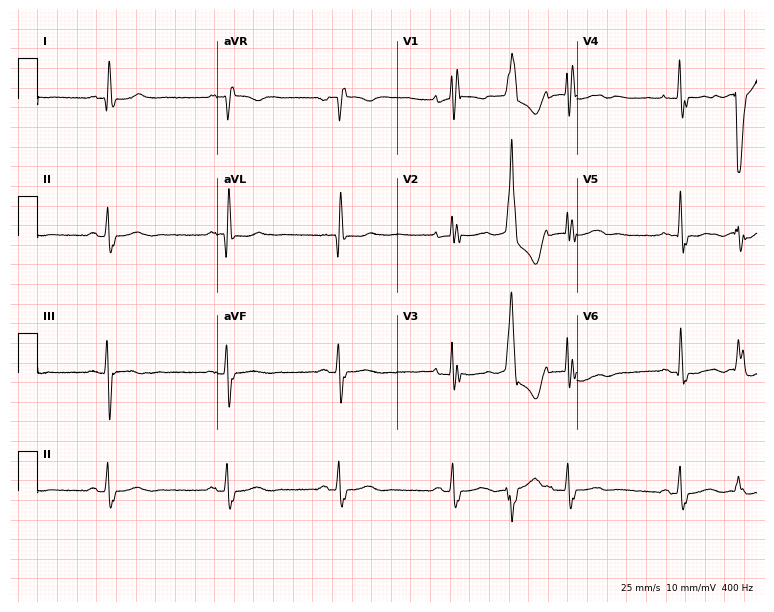
12-lead ECG (7.3-second recording at 400 Hz) from a female, 70 years old. Findings include right bundle branch block (RBBB).